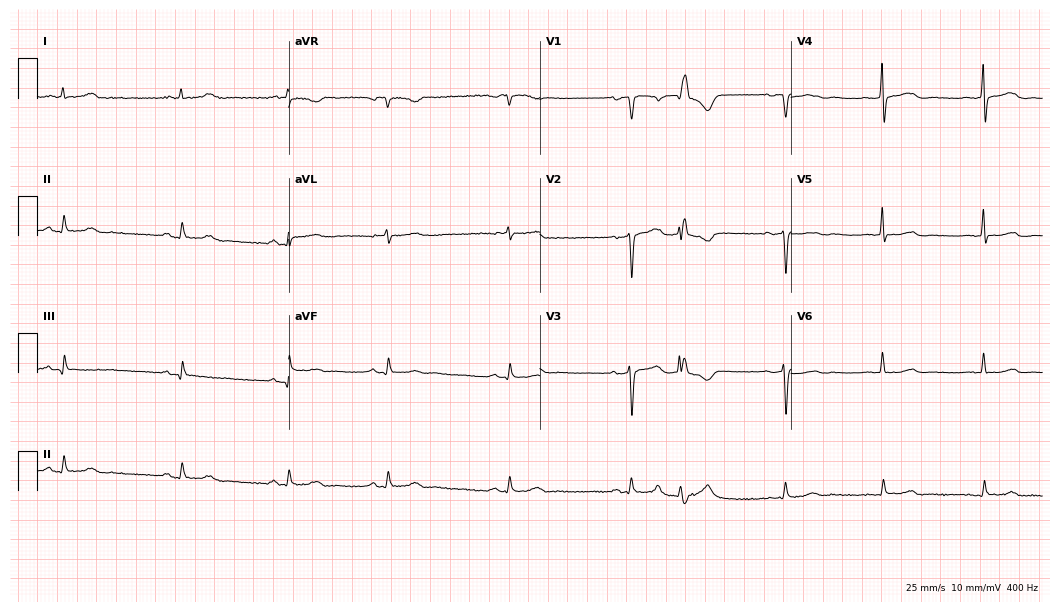
Electrocardiogram (10.2-second recording at 400 Hz), an 81-year-old man. Of the six screened findings (first-degree AV block, right bundle branch block, left bundle branch block, sinus bradycardia, atrial fibrillation, sinus tachycardia), none is recorded. Only these six findings were labelled.